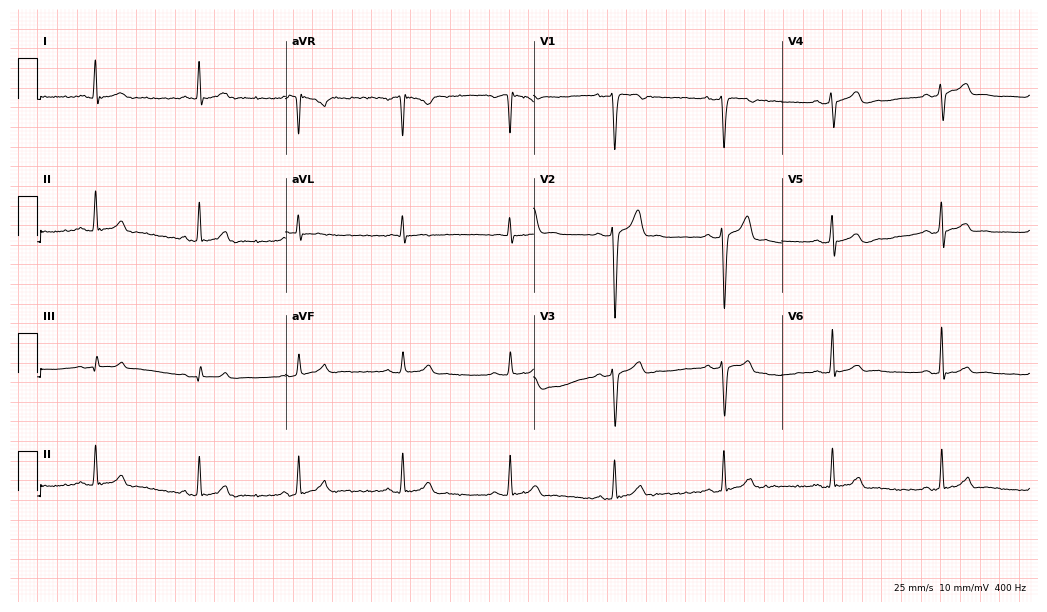
Electrocardiogram (10.1-second recording at 400 Hz), a male patient, 32 years old. Overall reading on record: normal ECG.